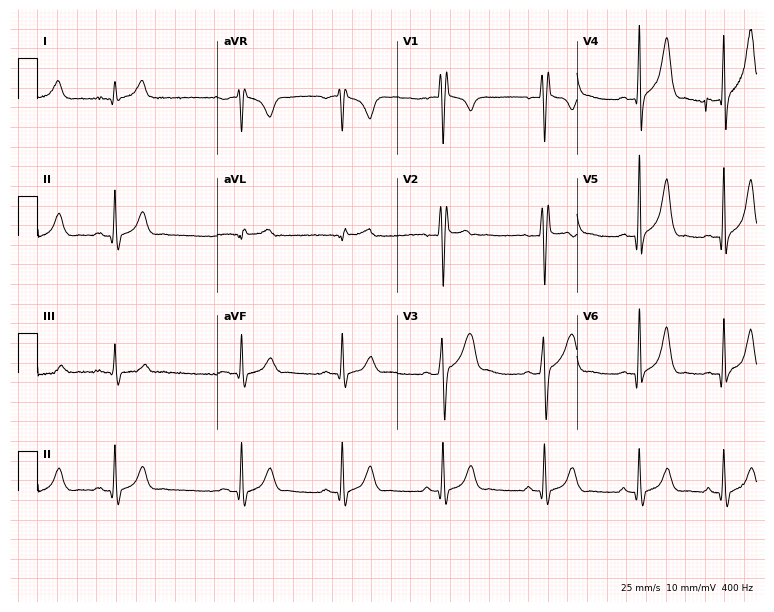
12-lead ECG from a 22-year-old male. Findings include right bundle branch block.